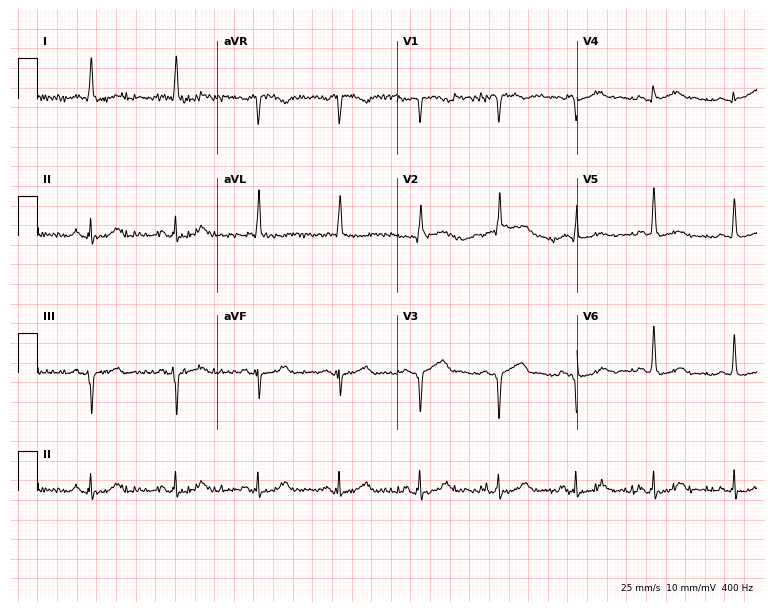
12-lead ECG (7.3-second recording at 400 Hz) from a male patient, 64 years old. Screened for six findings — first-degree AV block, right bundle branch block, left bundle branch block, sinus bradycardia, atrial fibrillation, sinus tachycardia — none is recorded. Other findings, if any, are not listed.